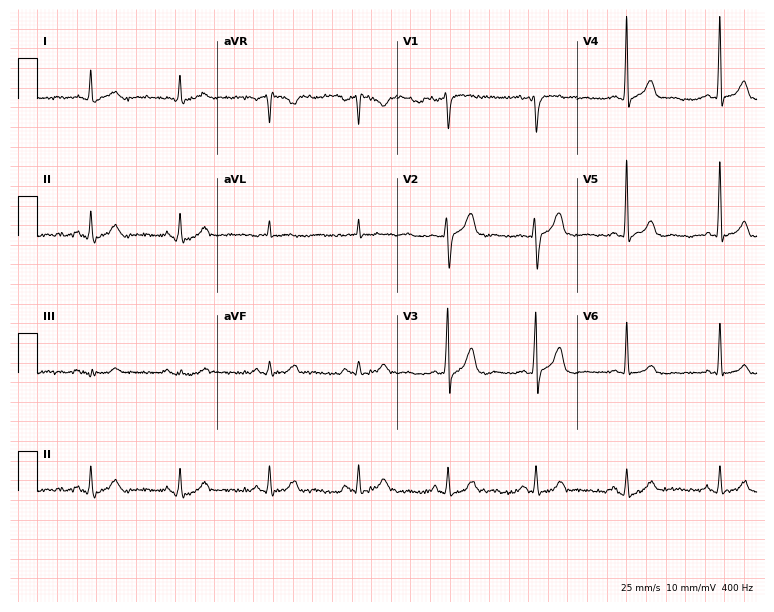
ECG (7.3-second recording at 400 Hz) — a 73-year-old male patient. Screened for six findings — first-degree AV block, right bundle branch block, left bundle branch block, sinus bradycardia, atrial fibrillation, sinus tachycardia — none is recorded. Findings outside these six are not listed.